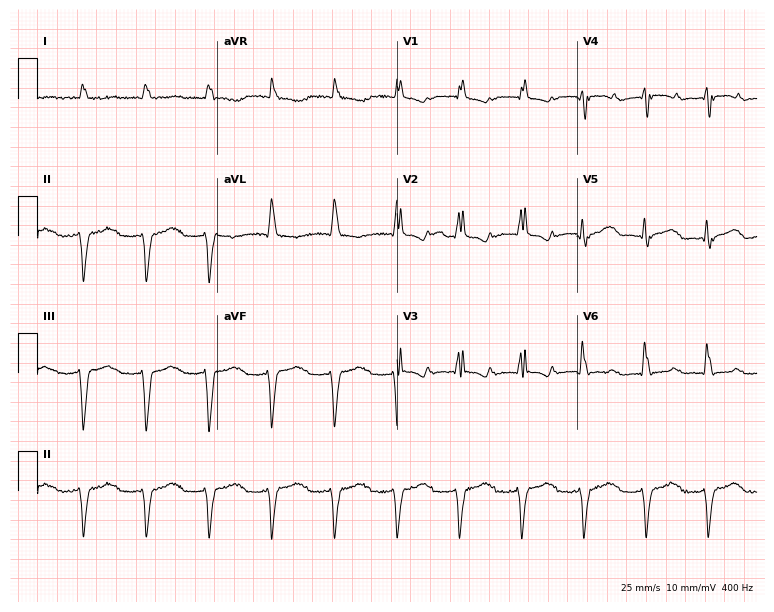
Electrocardiogram (7.3-second recording at 400 Hz), a 73-year-old man. Interpretation includes right bundle branch block.